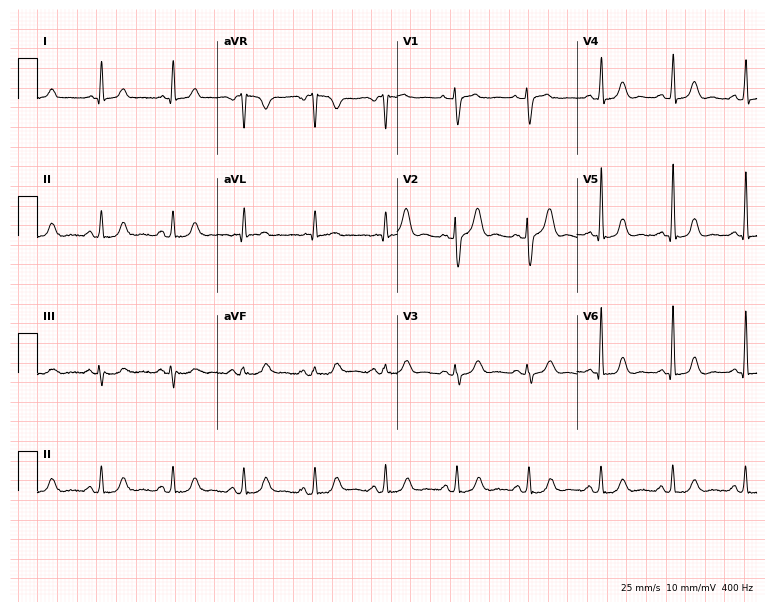
12-lead ECG from a 56-year-old female patient. Recorded interpretation: within normal limits.